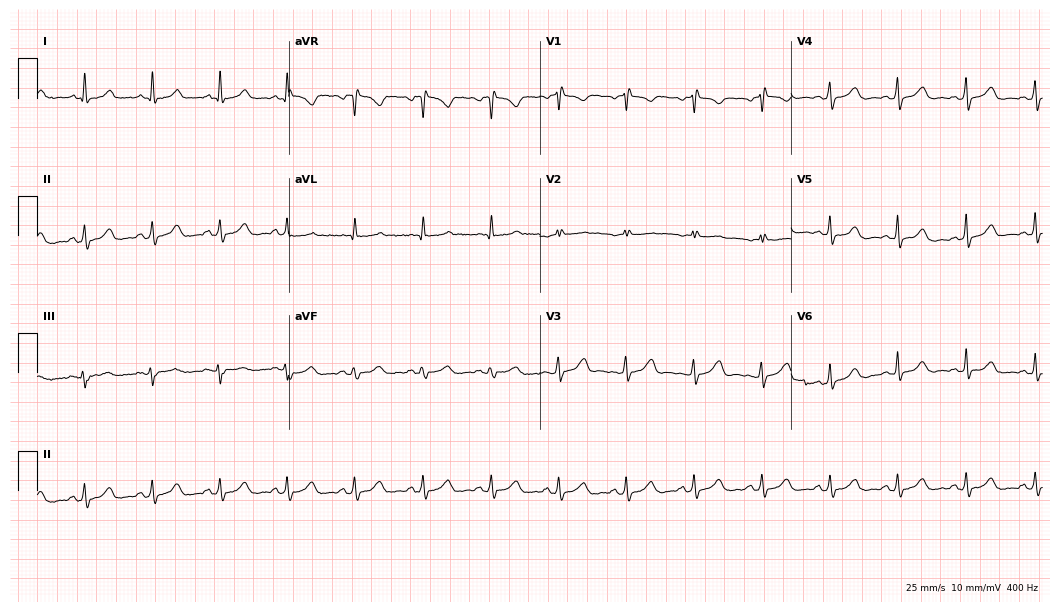
ECG (10.2-second recording at 400 Hz) — a 61-year-old woman. Screened for six findings — first-degree AV block, right bundle branch block, left bundle branch block, sinus bradycardia, atrial fibrillation, sinus tachycardia — none is recorded.